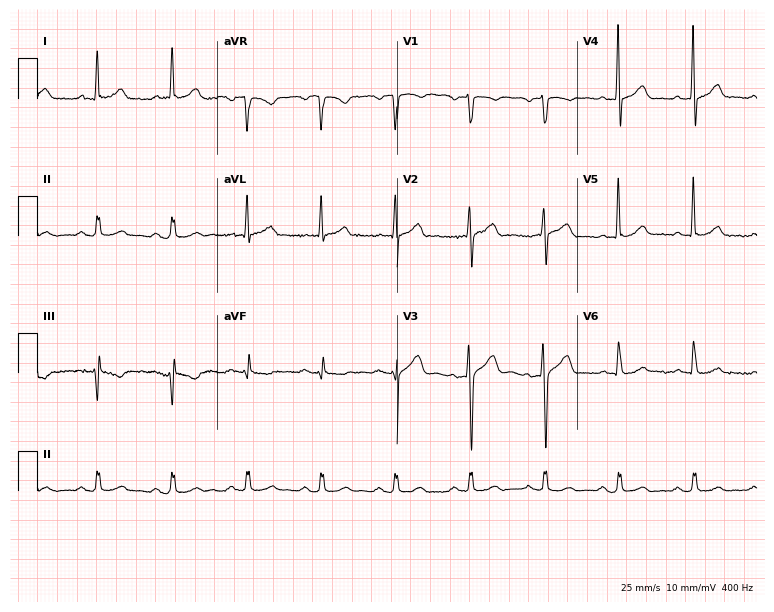
12-lead ECG from a 64-year-old man. Labelled as a normal ECG.